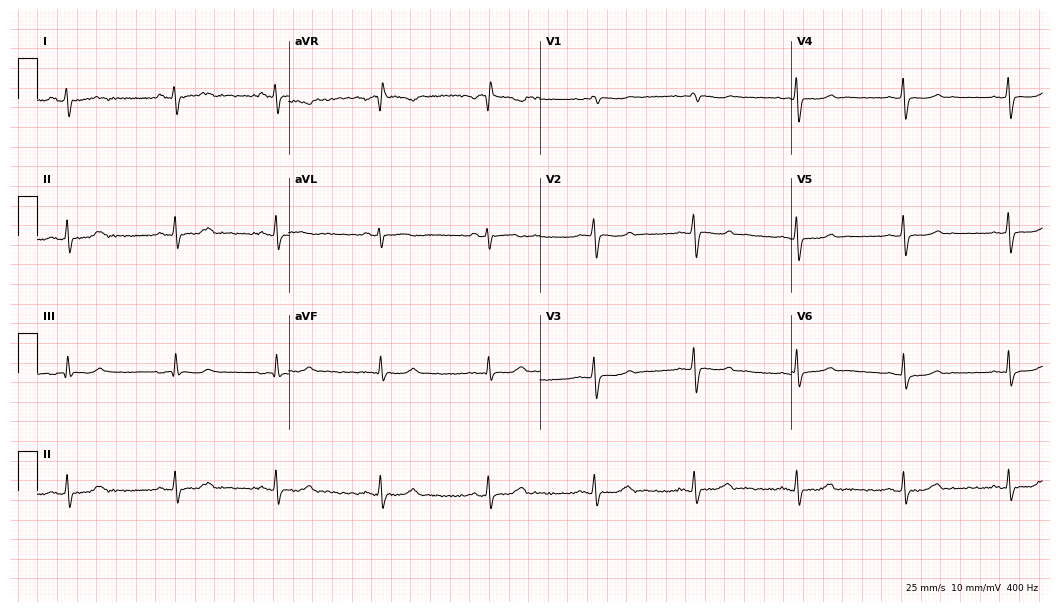
Resting 12-lead electrocardiogram. Patient: a female, 32 years old. None of these six findings is recorded: first-degree AV block, right bundle branch block, left bundle branch block, sinus bradycardia, atrial fibrillation, sinus tachycardia.